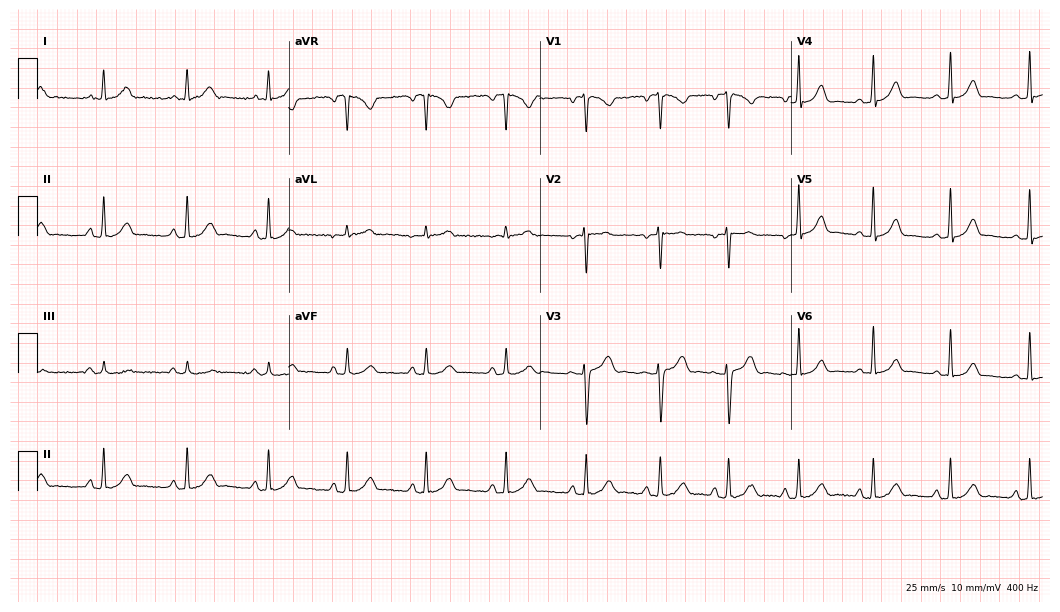
Standard 12-lead ECG recorded from a 22-year-old woman. None of these six findings is recorded: first-degree AV block, right bundle branch block (RBBB), left bundle branch block (LBBB), sinus bradycardia, atrial fibrillation (AF), sinus tachycardia. Findings outside these six are not listed.